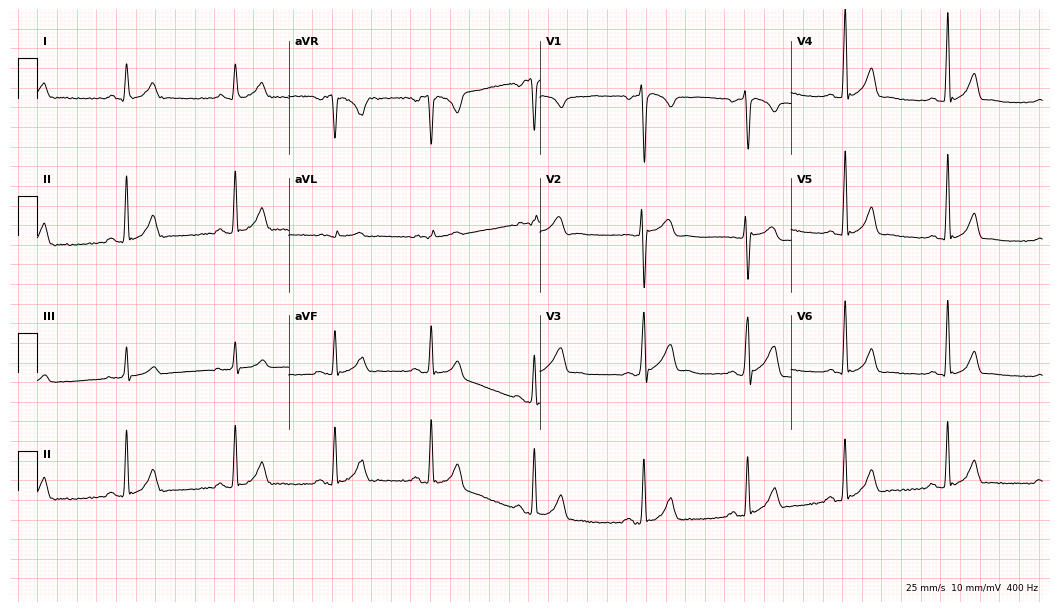
12-lead ECG from a man, 41 years old (10.2-second recording at 400 Hz). Recorded interpretation: within normal limits.